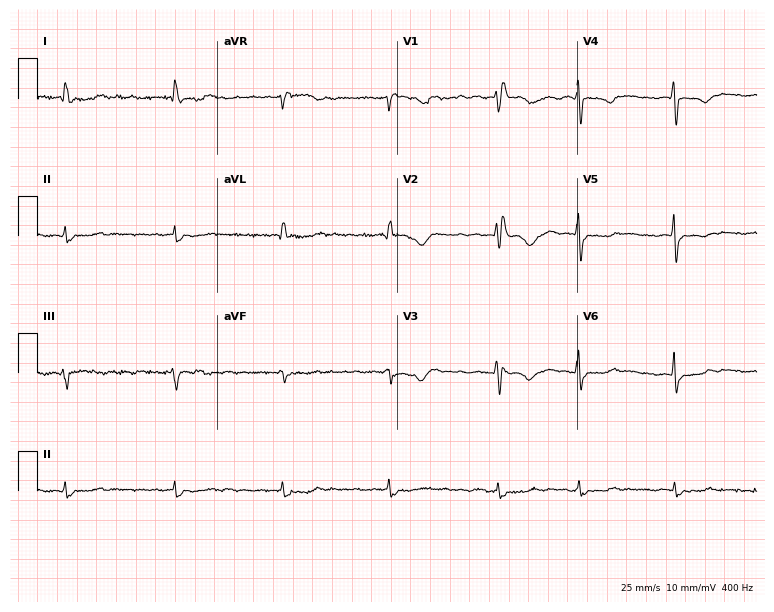
12-lead ECG from a female, 68 years old. Shows right bundle branch block, atrial fibrillation.